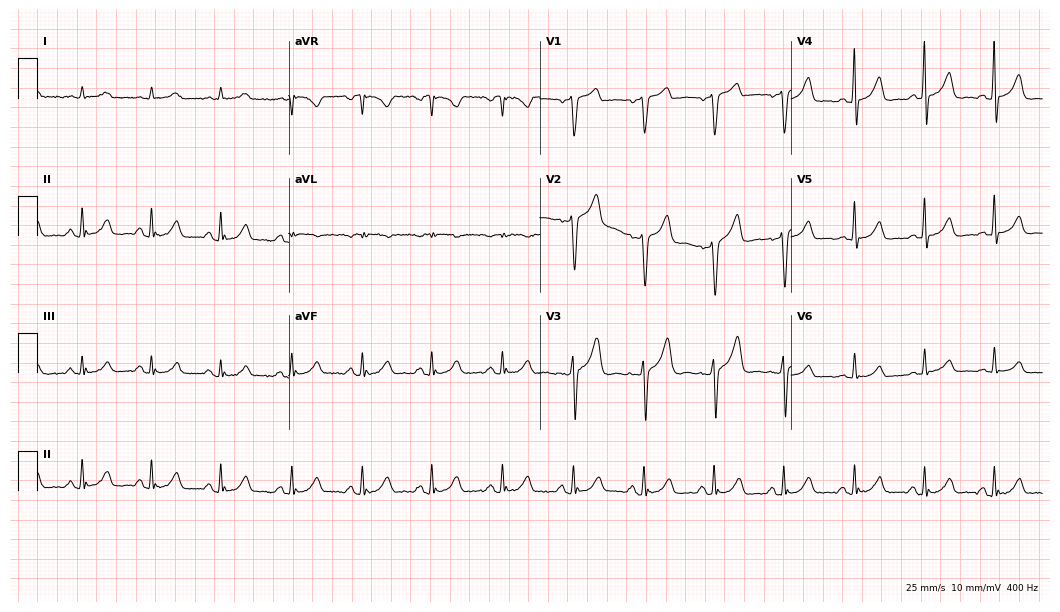
12-lead ECG from a 78-year-old man (10.2-second recording at 400 Hz). No first-degree AV block, right bundle branch block, left bundle branch block, sinus bradycardia, atrial fibrillation or sinus tachycardia recorded for this tracing.